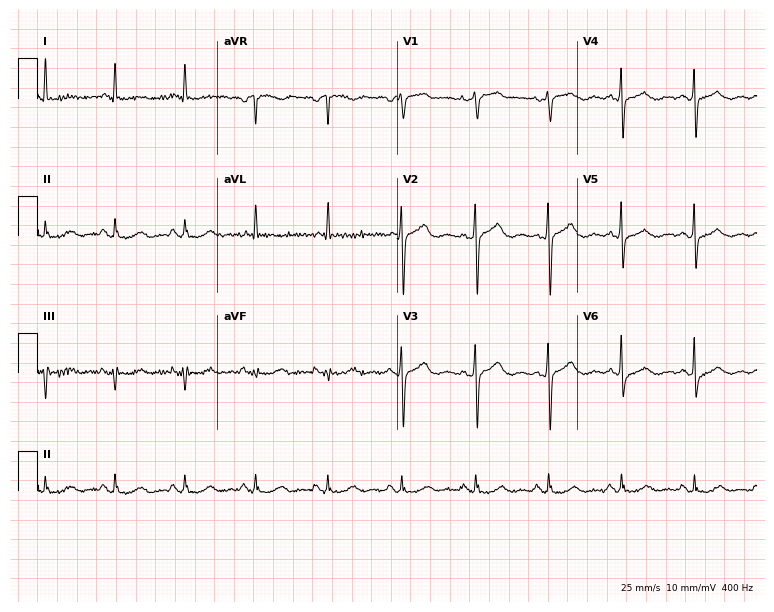
Standard 12-lead ECG recorded from a 74-year-old female. None of these six findings is recorded: first-degree AV block, right bundle branch block, left bundle branch block, sinus bradycardia, atrial fibrillation, sinus tachycardia. Findings outside these six are not listed.